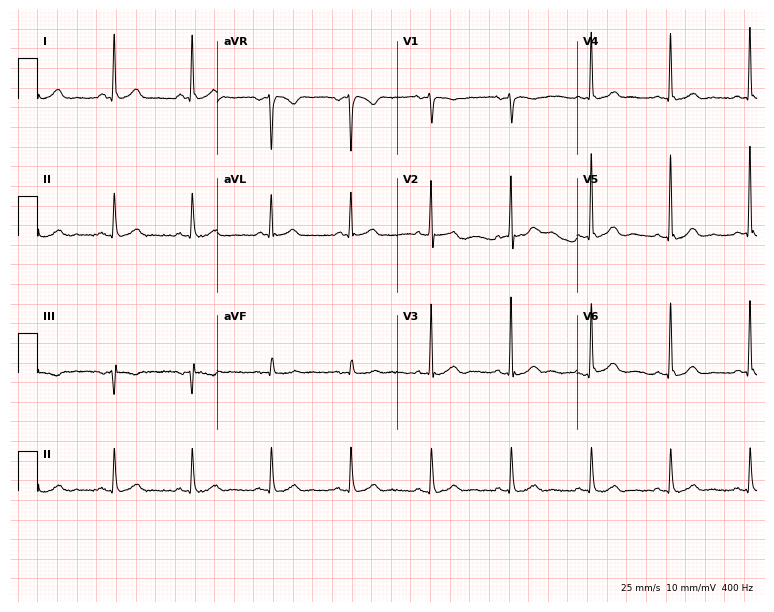
Resting 12-lead electrocardiogram (7.3-second recording at 400 Hz). Patient: a male, 62 years old. None of these six findings is recorded: first-degree AV block, right bundle branch block, left bundle branch block, sinus bradycardia, atrial fibrillation, sinus tachycardia.